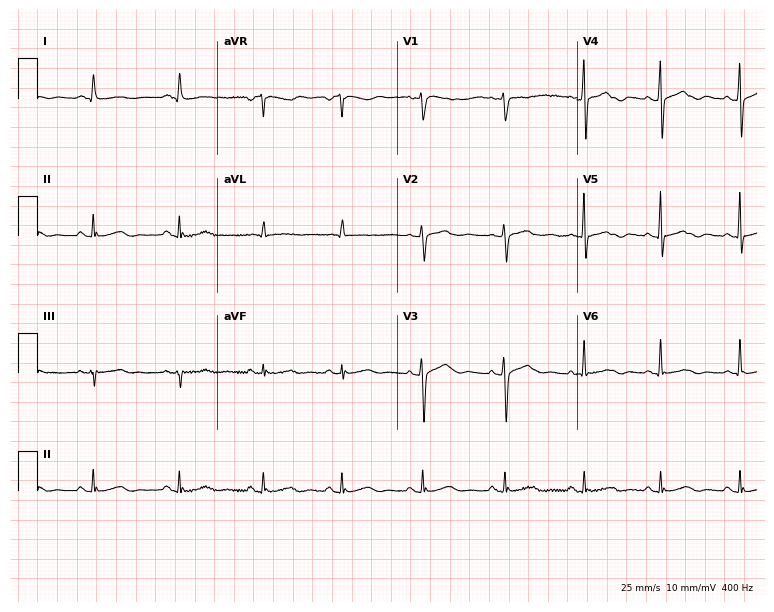
12-lead ECG from a 56-year-old woman (7.3-second recording at 400 Hz). No first-degree AV block, right bundle branch block, left bundle branch block, sinus bradycardia, atrial fibrillation or sinus tachycardia recorded for this tracing.